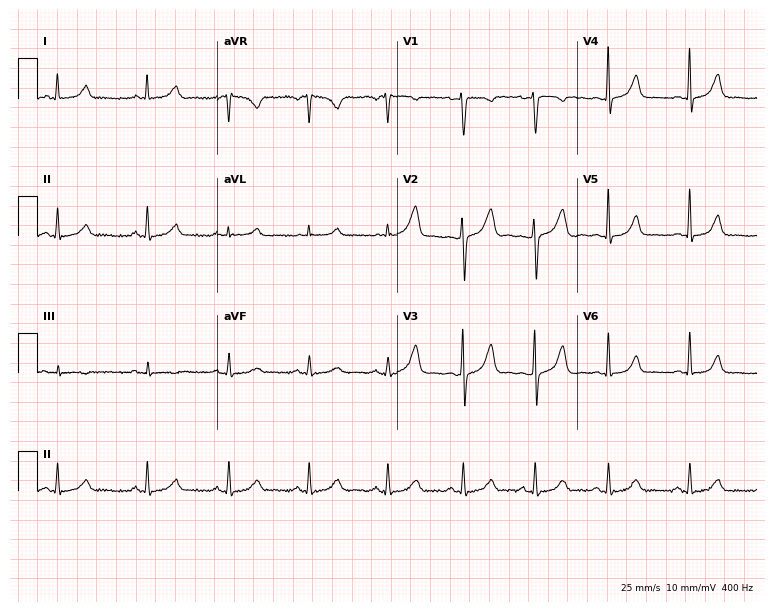
Standard 12-lead ECG recorded from a 36-year-old female patient (7.3-second recording at 400 Hz). None of these six findings is recorded: first-degree AV block, right bundle branch block, left bundle branch block, sinus bradycardia, atrial fibrillation, sinus tachycardia.